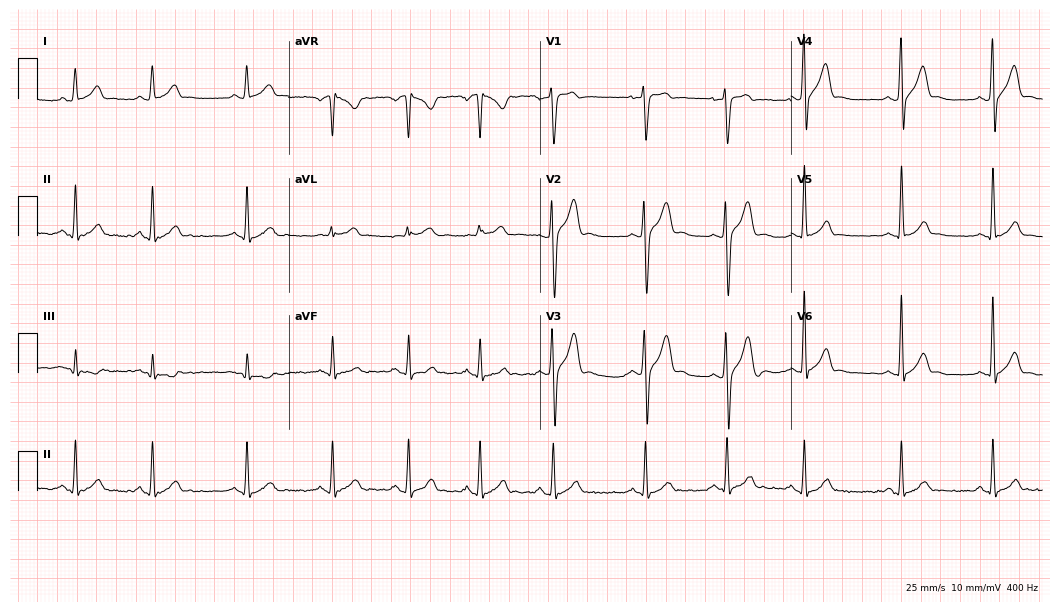
Resting 12-lead electrocardiogram (10.2-second recording at 400 Hz). Patient: a male, 29 years old. None of these six findings is recorded: first-degree AV block, right bundle branch block (RBBB), left bundle branch block (LBBB), sinus bradycardia, atrial fibrillation (AF), sinus tachycardia.